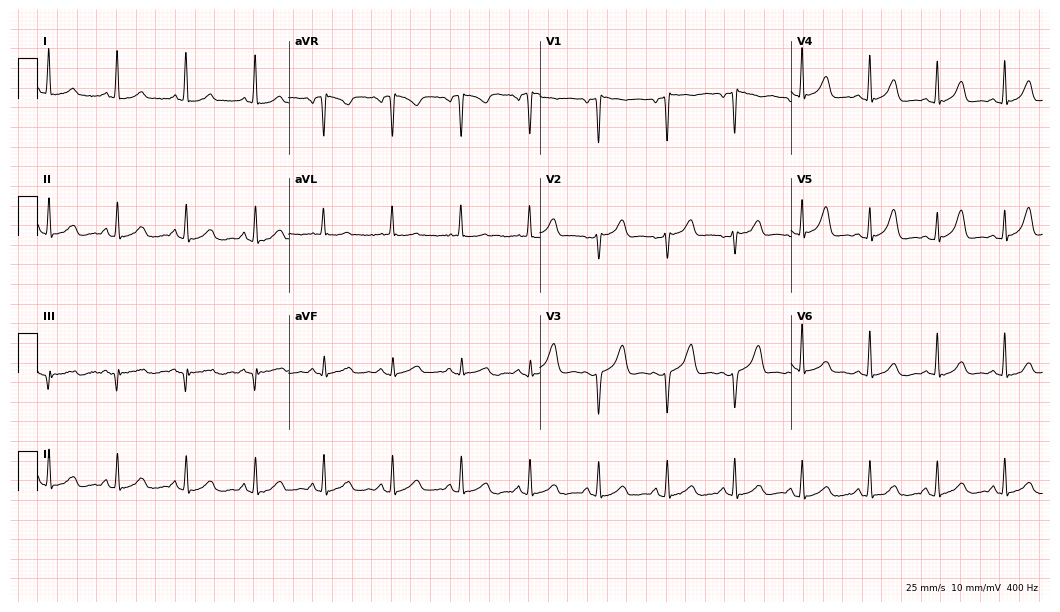
12-lead ECG from a 28-year-old female (10.2-second recording at 400 Hz). Recorded interpretation: within normal limits.